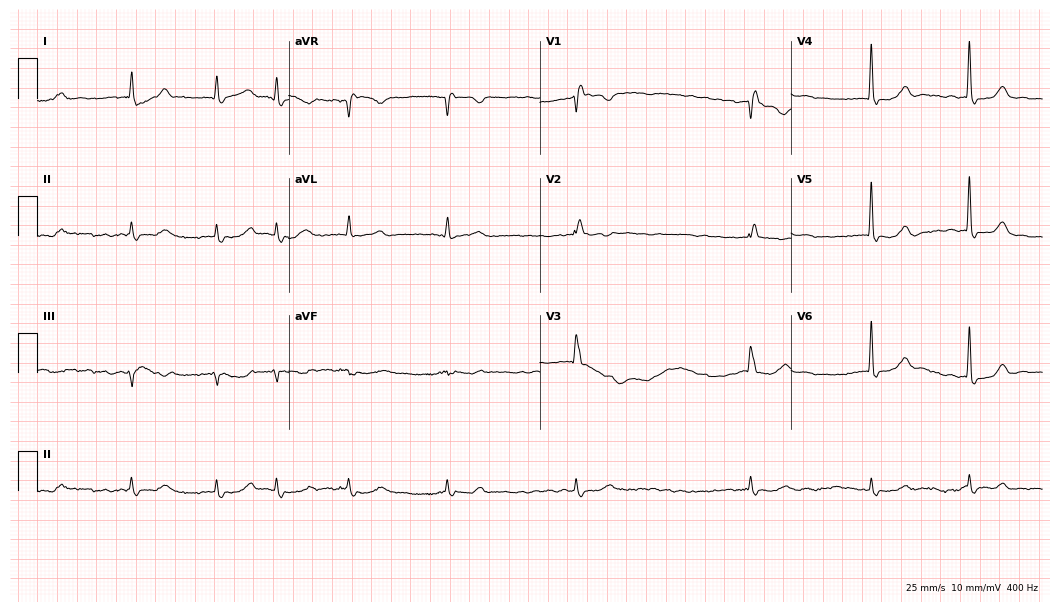
ECG (10.2-second recording at 400 Hz) — a female patient, 77 years old. Findings include right bundle branch block, atrial fibrillation.